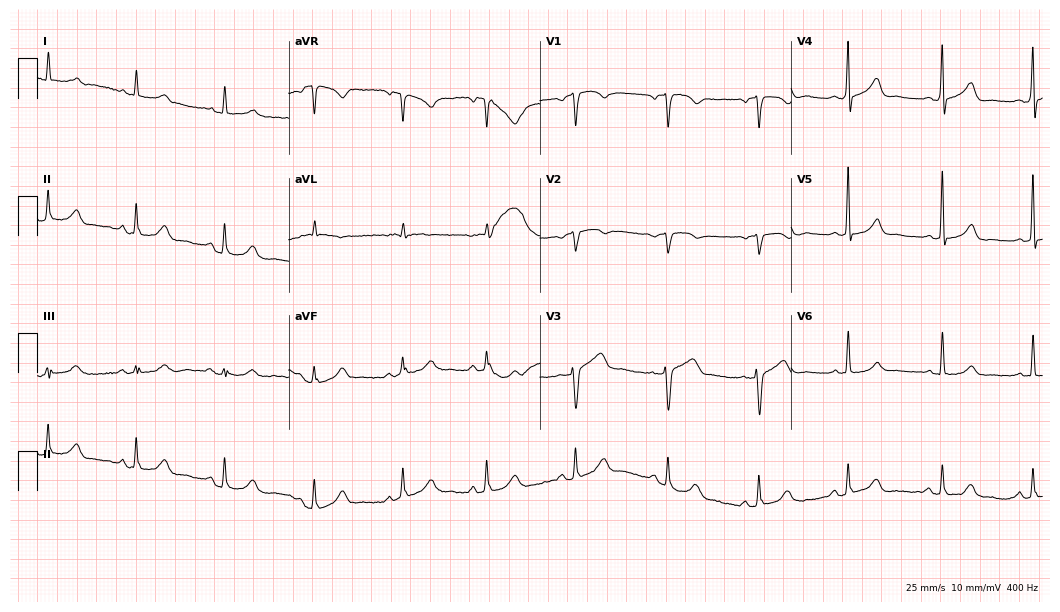
12-lead ECG from a female, 67 years old. No first-degree AV block, right bundle branch block, left bundle branch block, sinus bradycardia, atrial fibrillation or sinus tachycardia recorded for this tracing.